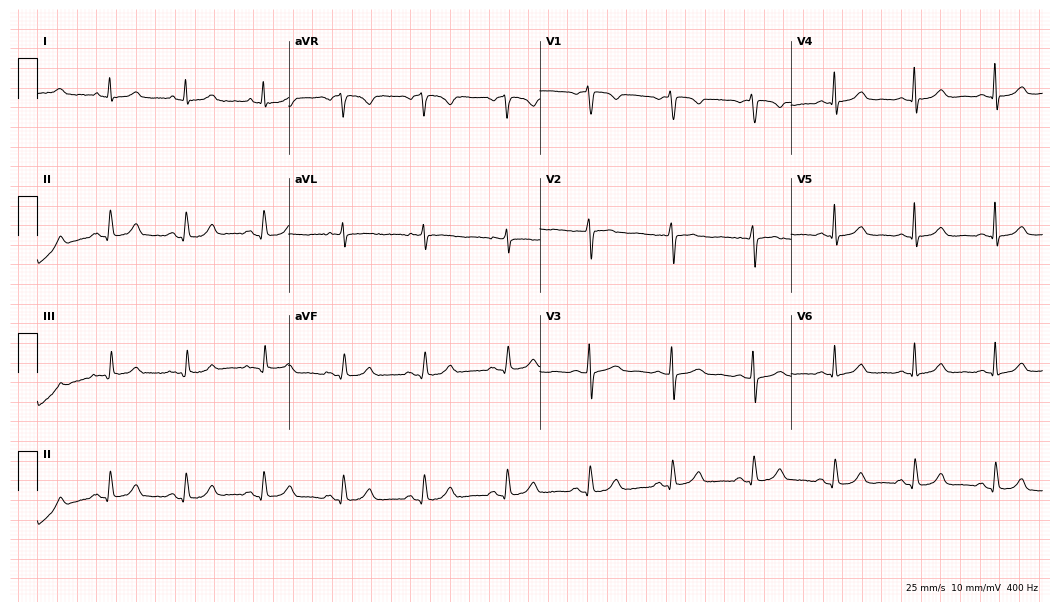
12-lead ECG (10.2-second recording at 400 Hz) from a woman, 61 years old. Labelled as a normal ECG.